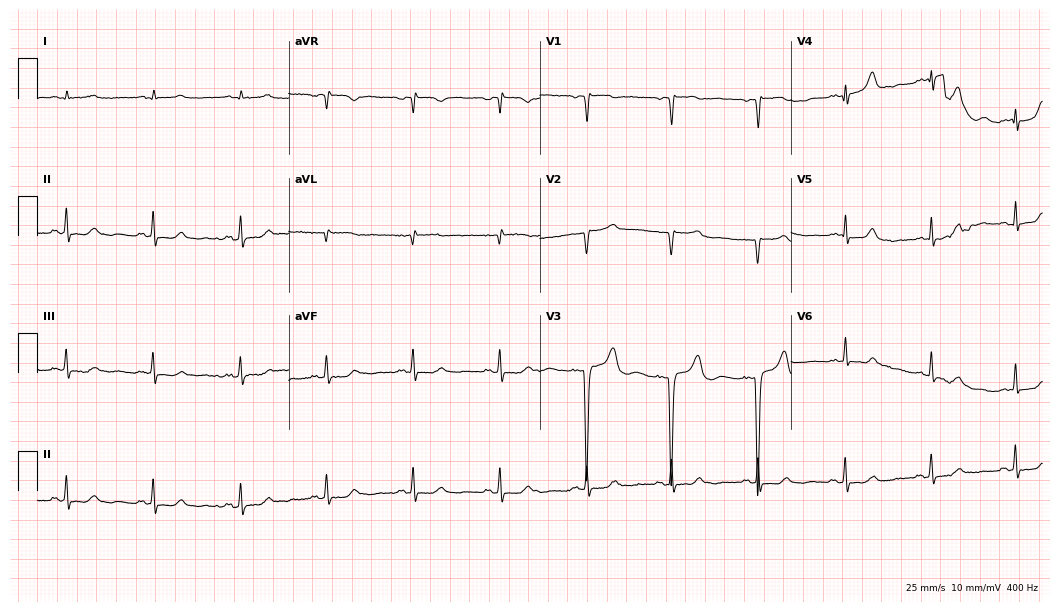
12-lead ECG from a 53-year-old woman (10.2-second recording at 400 Hz). No first-degree AV block, right bundle branch block (RBBB), left bundle branch block (LBBB), sinus bradycardia, atrial fibrillation (AF) or sinus tachycardia recorded for this tracing. Findings outside these six are not listed.